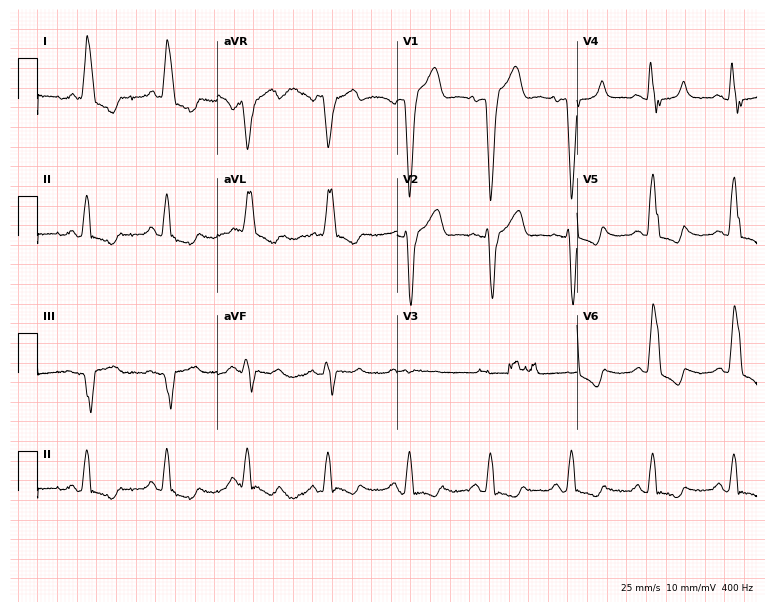
12-lead ECG from a woman, 80 years old. Shows left bundle branch block.